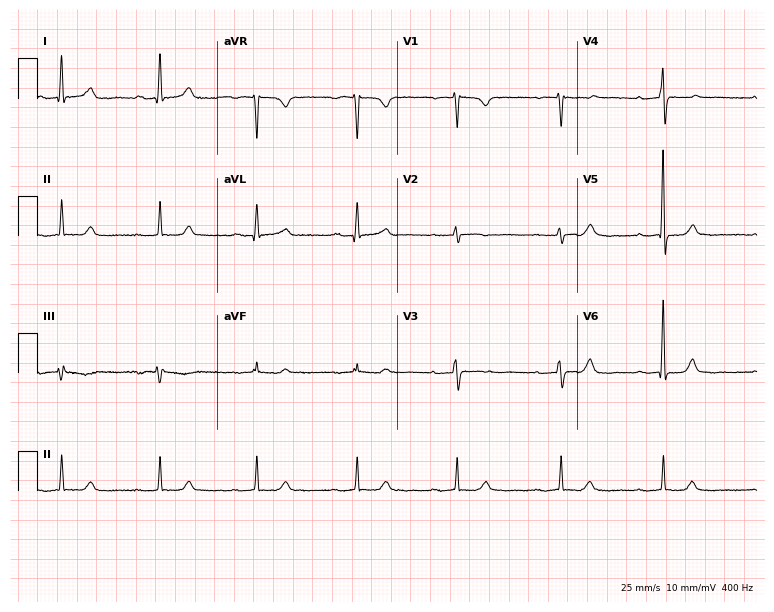
12-lead ECG from a 70-year-old female patient. Labelled as a normal ECG.